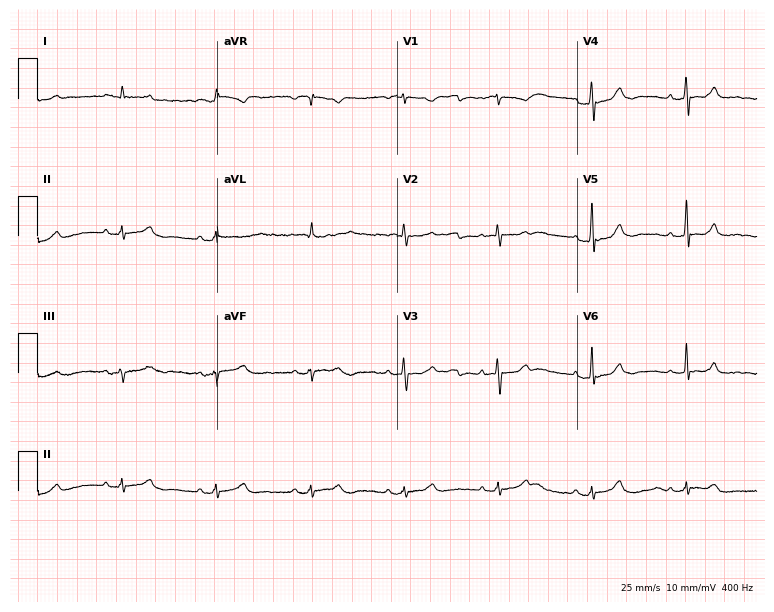
12-lead ECG from a female patient, 78 years old (7.3-second recording at 400 Hz). No first-degree AV block, right bundle branch block (RBBB), left bundle branch block (LBBB), sinus bradycardia, atrial fibrillation (AF) or sinus tachycardia recorded for this tracing. Other findings, if any, are not listed.